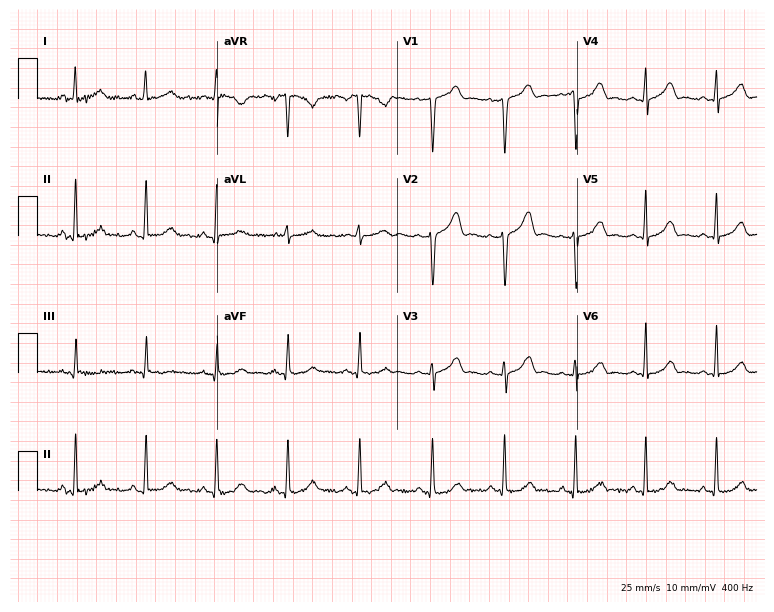
Electrocardiogram, a 26-year-old female. Overall reading on record: normal ECG.